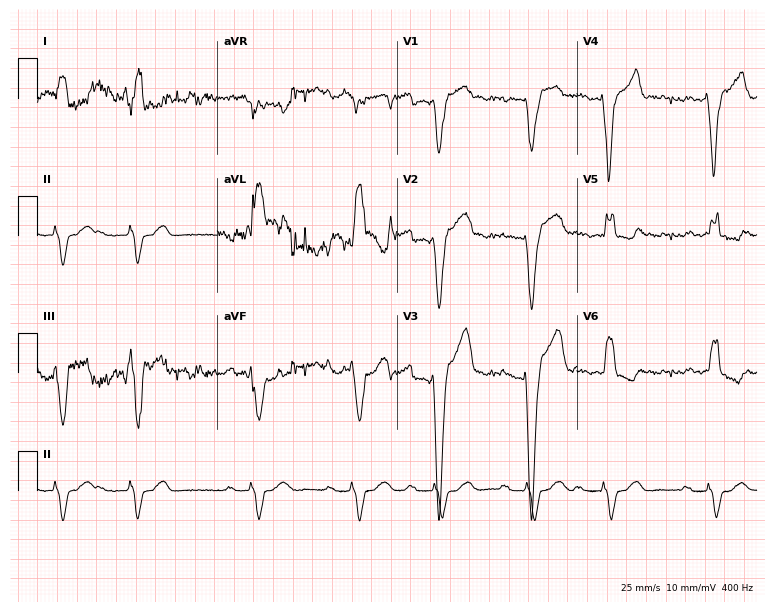
12-lead ECG from an 81-year-old male. Findings include first-degree AV block, left bundle branch block (LBBB), atrial fibrillation (AF).